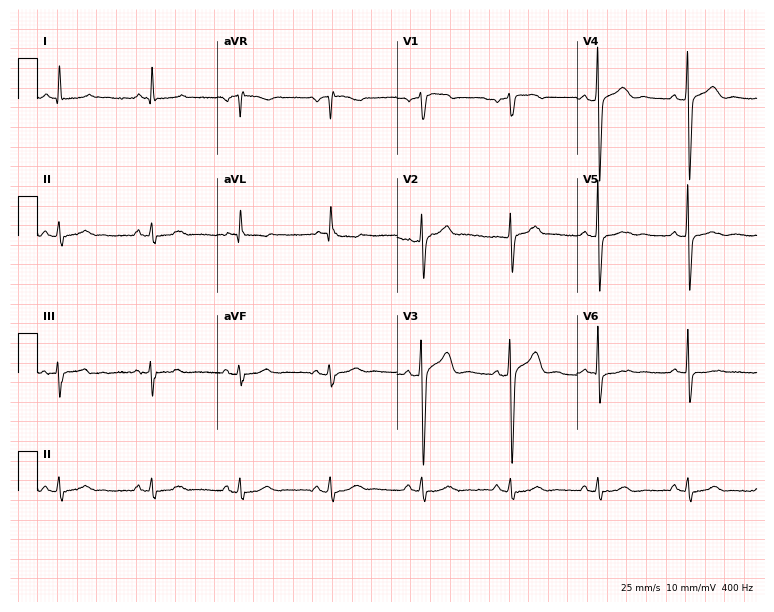
ECG (7.3-second recording at 400 Hz) — a 56-year-old man. Screened for six findings — first-degree AV block, right bundle branch block (RBBB), left bundle branch block (LBBB), sinus bradycardia, atrial fibrillation (AF), sinus tachycardia — none is recorded. Findings outside these six are not listed.